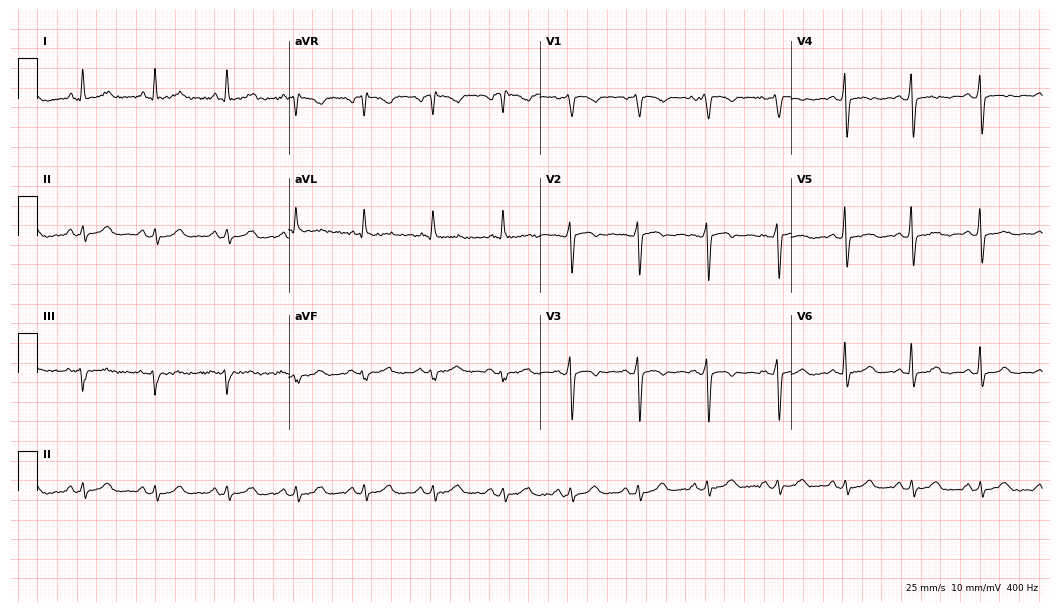
ECG — a female, 51 years old. Screened for six findings — first-degree AV block, right bundle branch block, left bundle branch block, sinus bradycardia, atrial fibrillation, sinus tachycardia — none is recorded. Other findings, if any, are not listed.